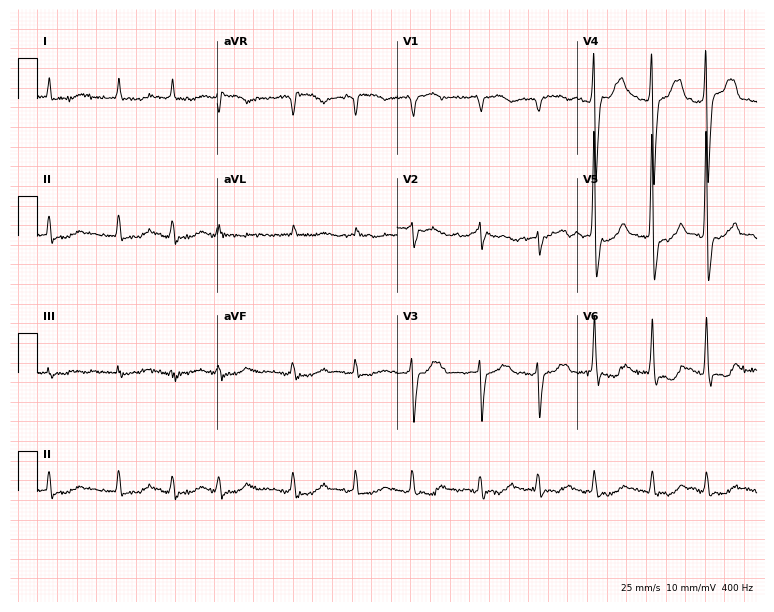
Electrocardiogram, a 76-year-old male. Interpretation includes atrial fibrillation (AF).